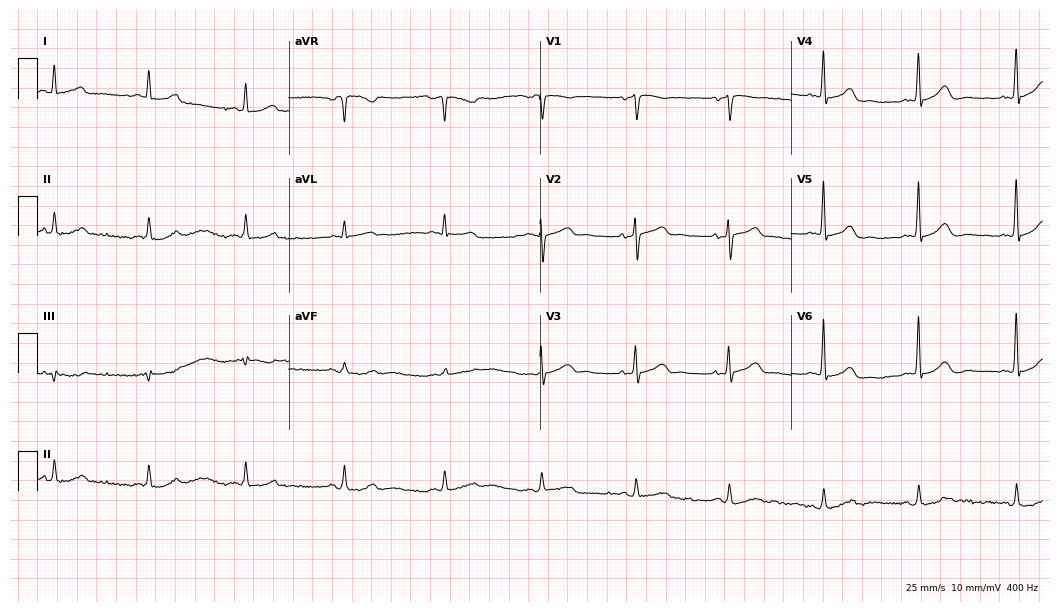
Resting 12-lead electrocardiogram (10.2-second recording at 400 Hz). Patient: a woman, 64 years old. Read as a normal ECG.